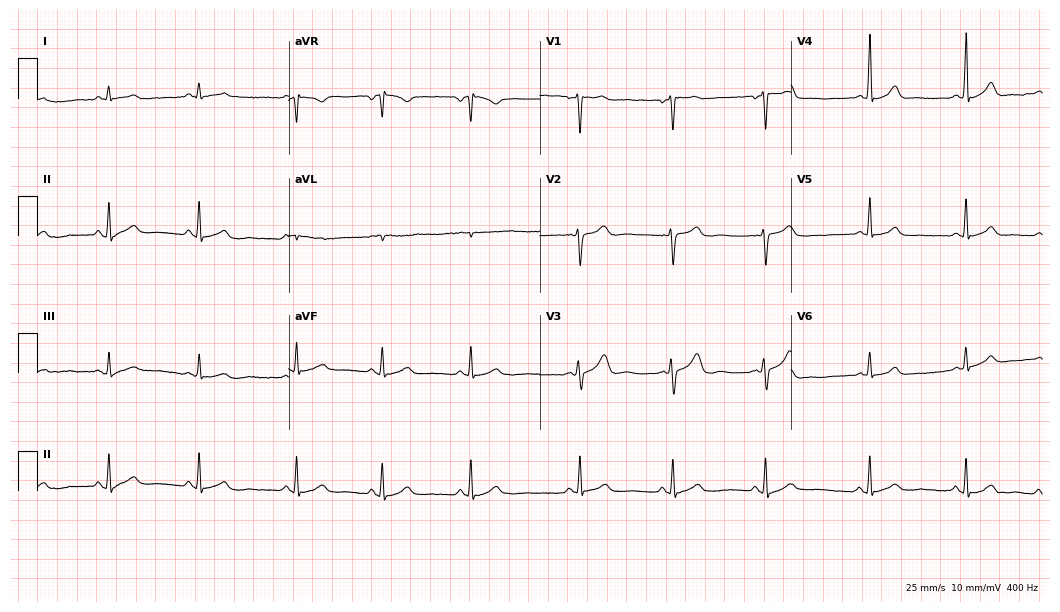
12-lead ECG from a 41-year-old female patient. Labelled as a normal ECG.